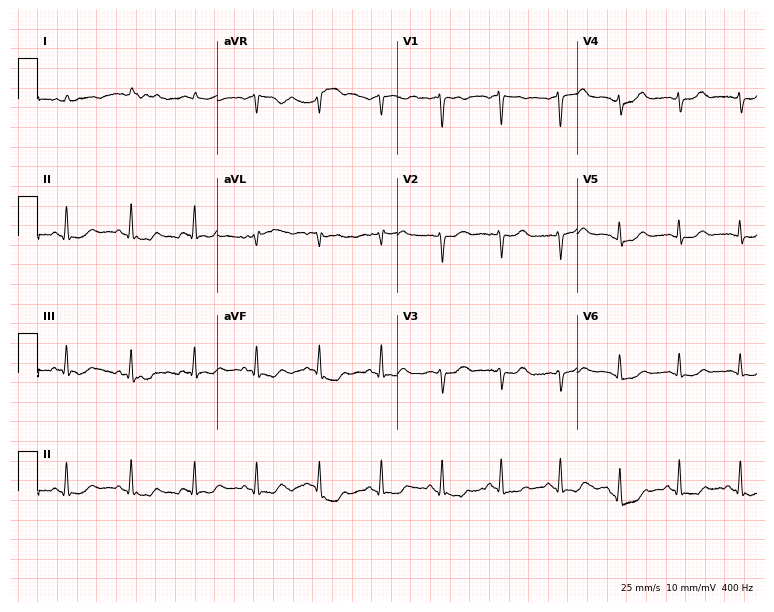
12-lead ECG (7.3-second recording at 400 Hz) from a 51-year-old woman. Screened for six findings — first-degree AV block, right bundle branch block, left bundle branch block, sinus bradycardia, atrial fibrillation, sinus tachycardia — none is recorded. Other findings, if any, are not listed.